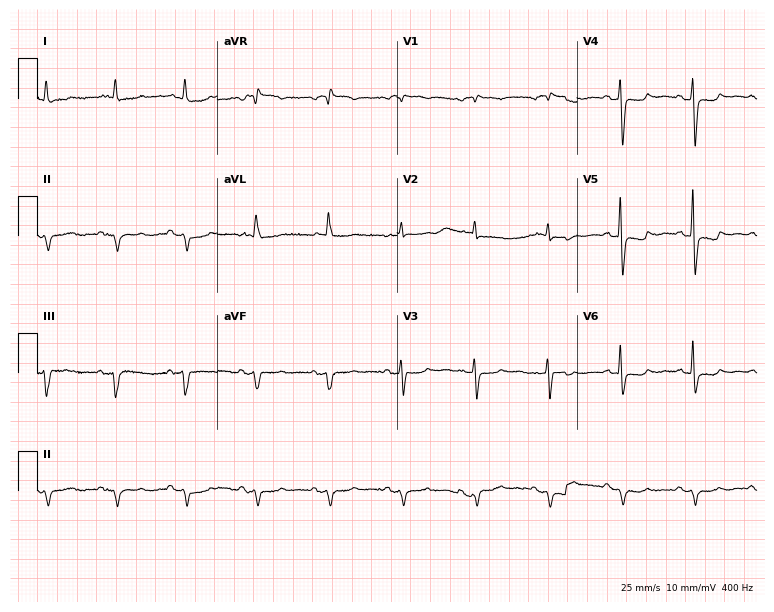
Standard 12-lead ECG recorded from a woman, 84 years old (7.3-second recording at 400 Hz). None of these six findings is recorded: first-degree AV block, right bundle branch block (RBBB), left bundle branch block (LBBB), sinus bradycardia, atrial fibrillation (AF), sinus tachycardia. Only these six findings were labelled.